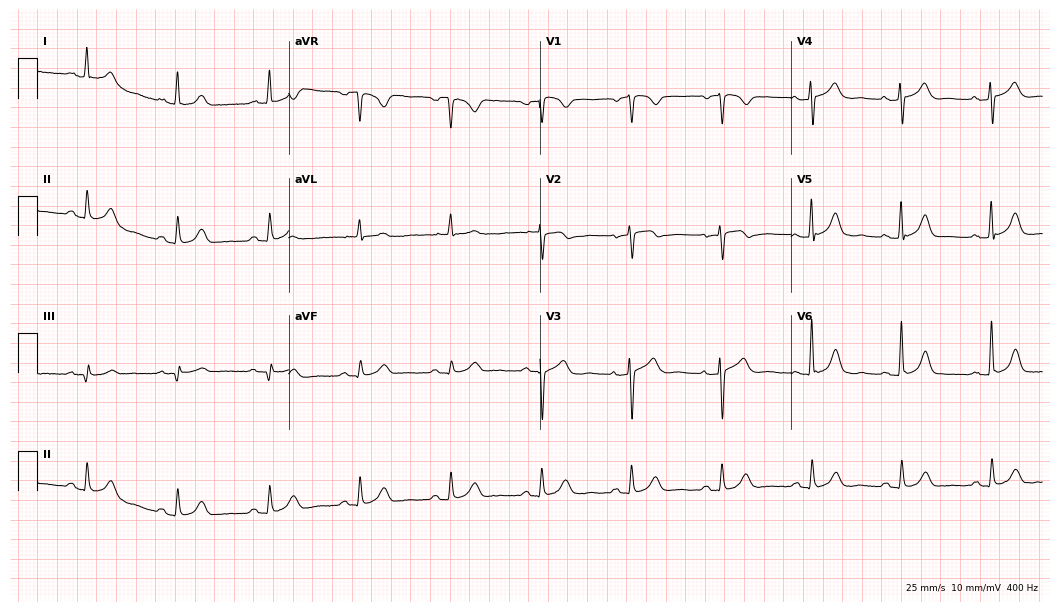
Resting 12-lead electrocardiogram (10.2-second recording at 400 Hz). Patient: a female, 80 years old. Read as a normal ECG.